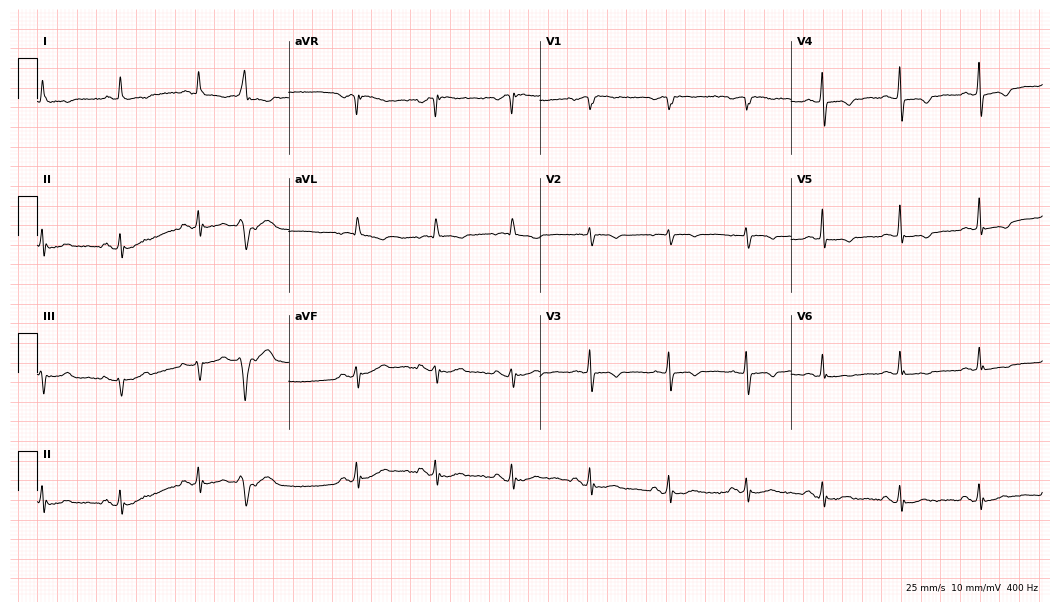
Resting 12-lead electrocardiogram (10.2-second recording at 400 Hz). Patient: an 83-year-old female. None of these six findings is recorded: first-degree AV block, right bundle branch block, left bundle branch block, sinus bradycardia, atrial fibrillation, sinus tachycardia. Only these six findings were labelled.